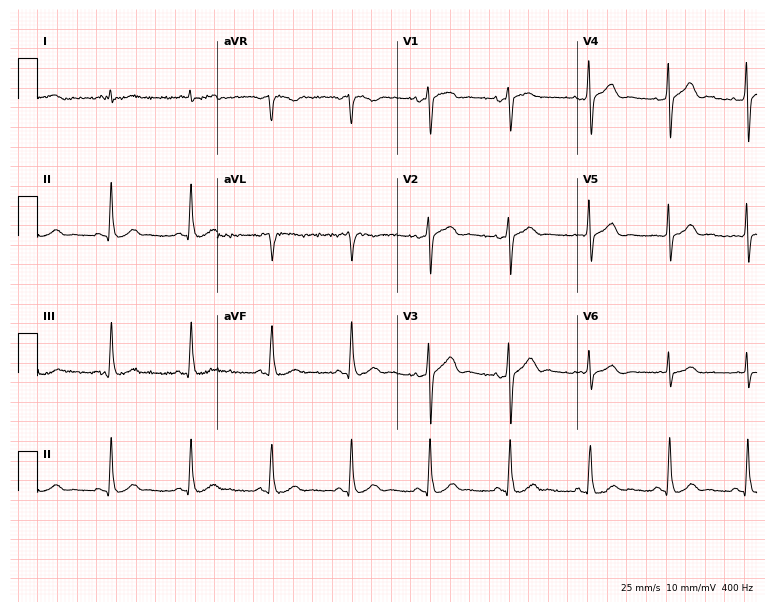
Electrocardiogram (7.3-second recording at 400 Hz), a 68-year-old male. Overall reading on record: normal ECG.